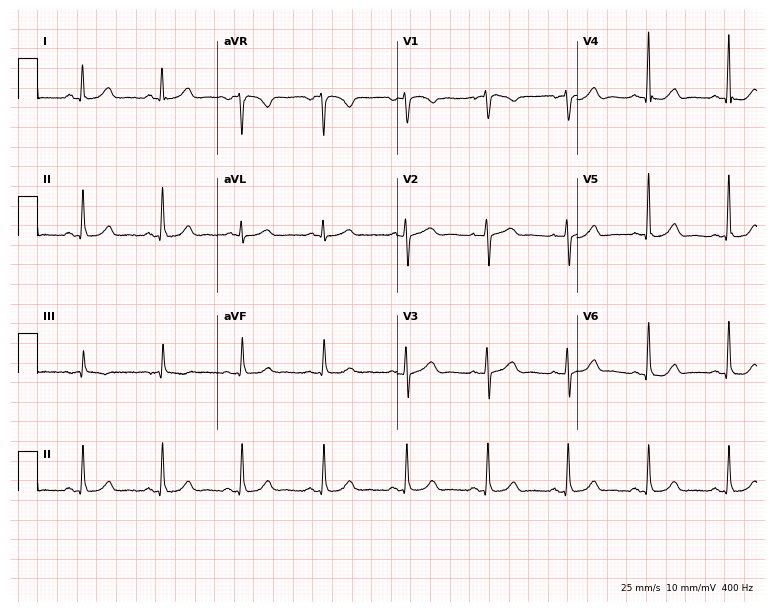
Resting 12-lead electrocardiogram. Patient: a female, 64 years old. Read as a normal ECG.